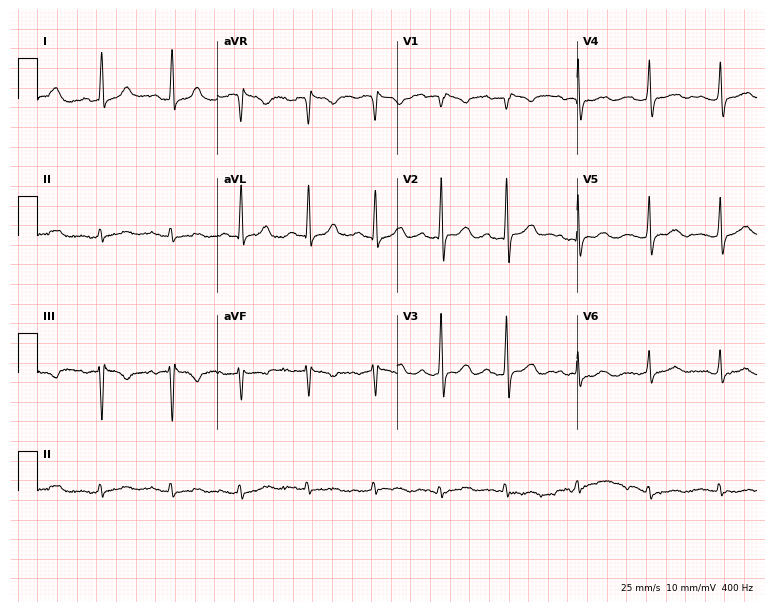
Electrocardiogram, a 54-year-old female. Of the six screened findings (first-degree AV block, right bundle branch block, left bundle branch block, sinus bradycardia, atrial fibrillation, sinus tachycardia), none is recorded.